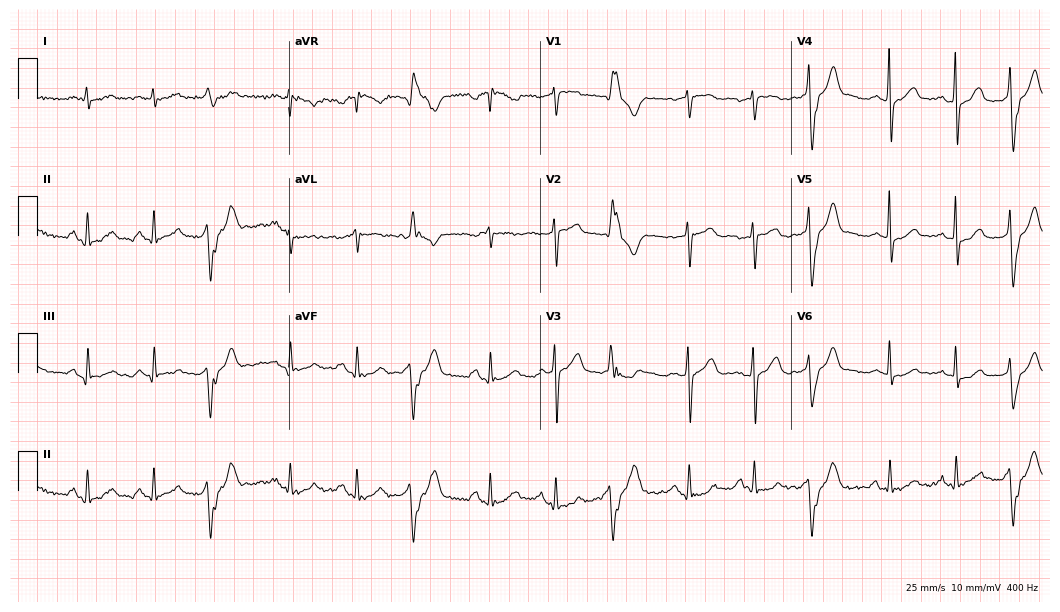
Resting 12-lead electrocardiogram. Patient: a male, 69 years old. None of these six findings is recorded: first-degree AV block, right bundle branch block (RBBB), left bundle branch block (LBBB), sinus bradycardia, atrial fibrillation (AF), sinus tachycardia.